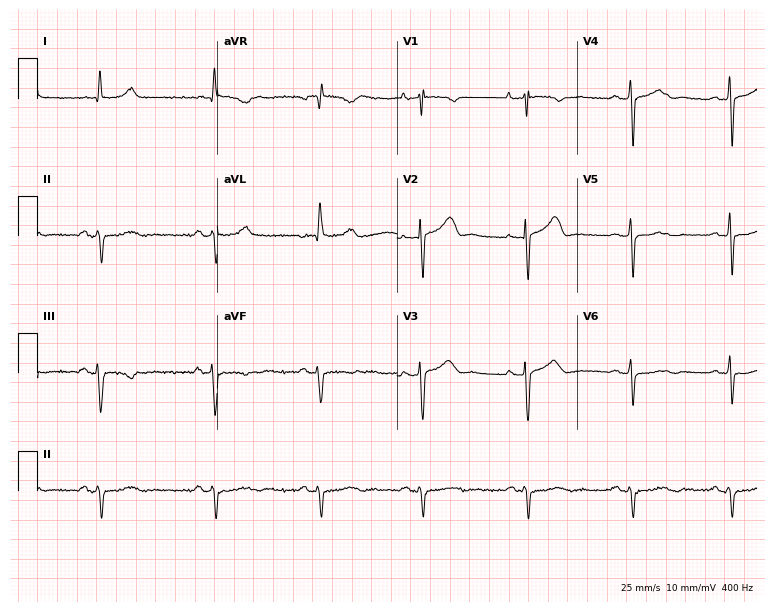
Electrocardiogram, a 76-year-old female. Of the six screened findings (first-degree AV block, right bundle branch block, left bundle branch block, sinus bradycardia, atrial fibrillation, sinus tachycardia), none is recorded.